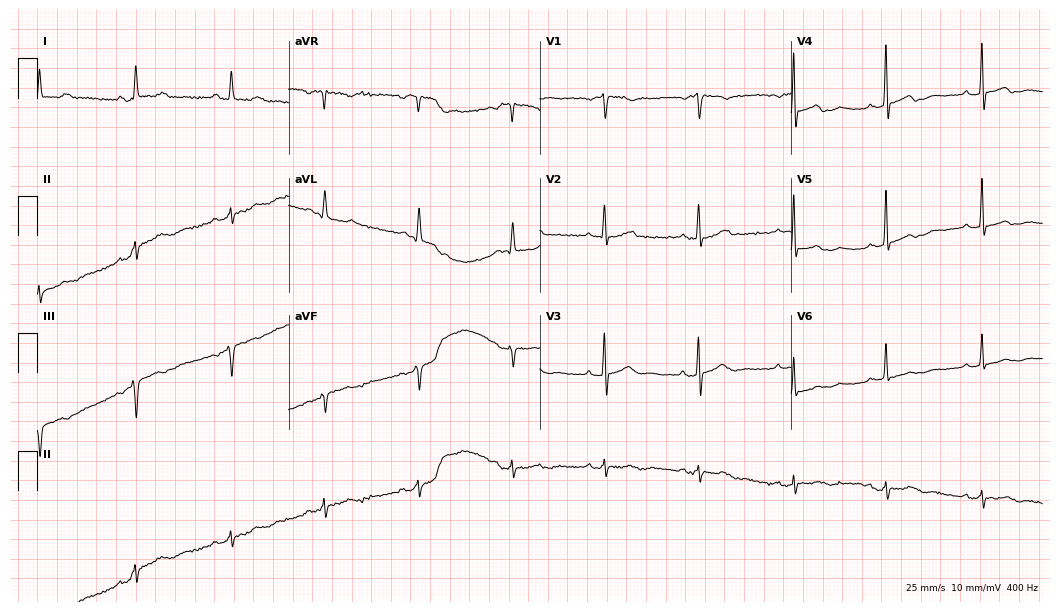
Standard 12-lead ECG recorded from a female patient, 75 years old (10.2-second recording at 400 Hz). None of these six findings is recorded: first-degree AV block, right bundle branch block (RBBB), left bundle branch block (LBBB), sinus bradycardia, atrial fibrillation (AF), sinus tachycardia. Other findings, if any, are not listed.